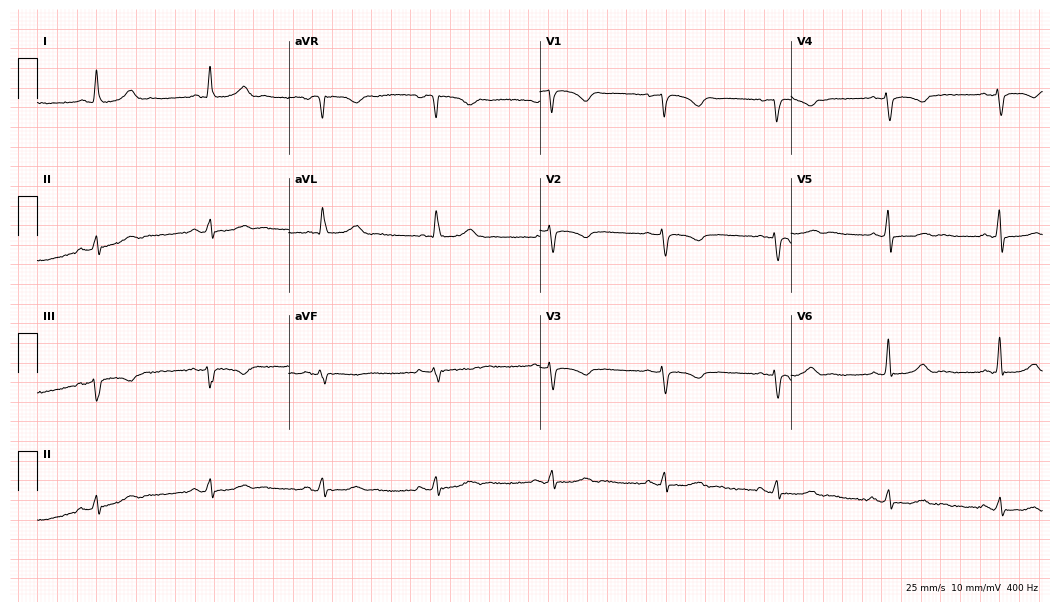
Electrocardiogram (10.2-second recording at 400 Hz), a 63-year-old female. Of the six screened findings (first-degree AV block, right bundle branch block, left bundle branch block, sinus bradycardia, atrial fibrillation, sinus tachycardia), none is recorded. Other findings, if any, are not listed.